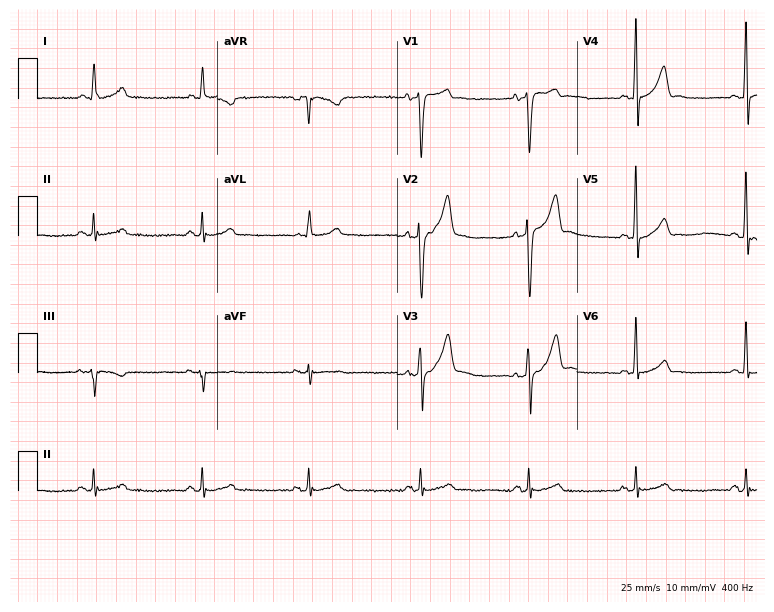
12-lead ECG from a male patient, 63 years old (7.3-second recording at 400 Hz). No first-degree AV block, right bundle branch block, left bundle branch block, sinus bradycardia, atrial fibrillation or sinus tachycardia recorded for this tracing.